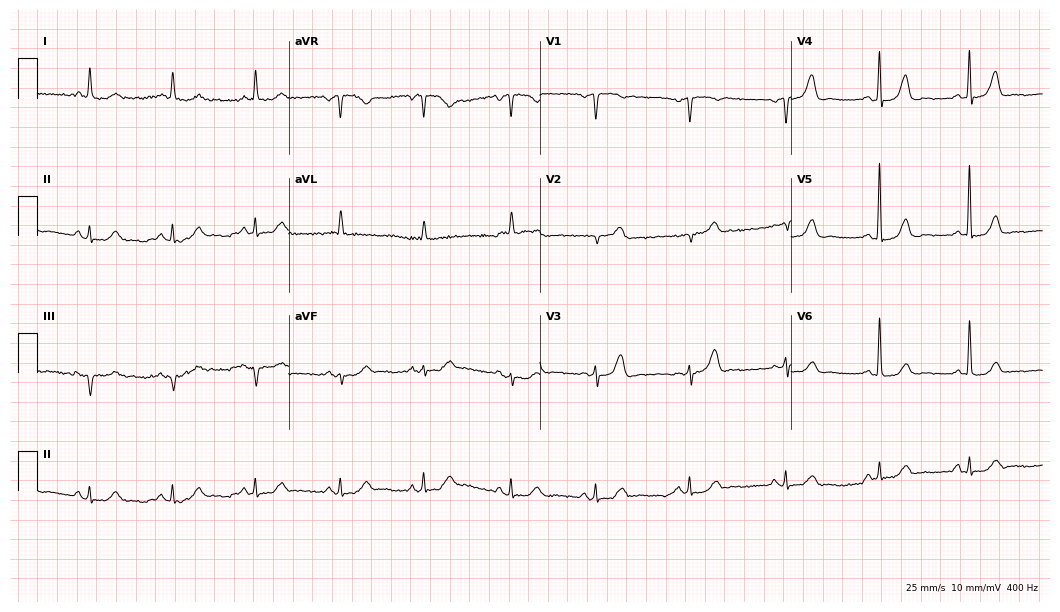
ECG (10.2-second recording at 400 Hz) — a 76-year-old female patient. Labelled as a normal ECG.